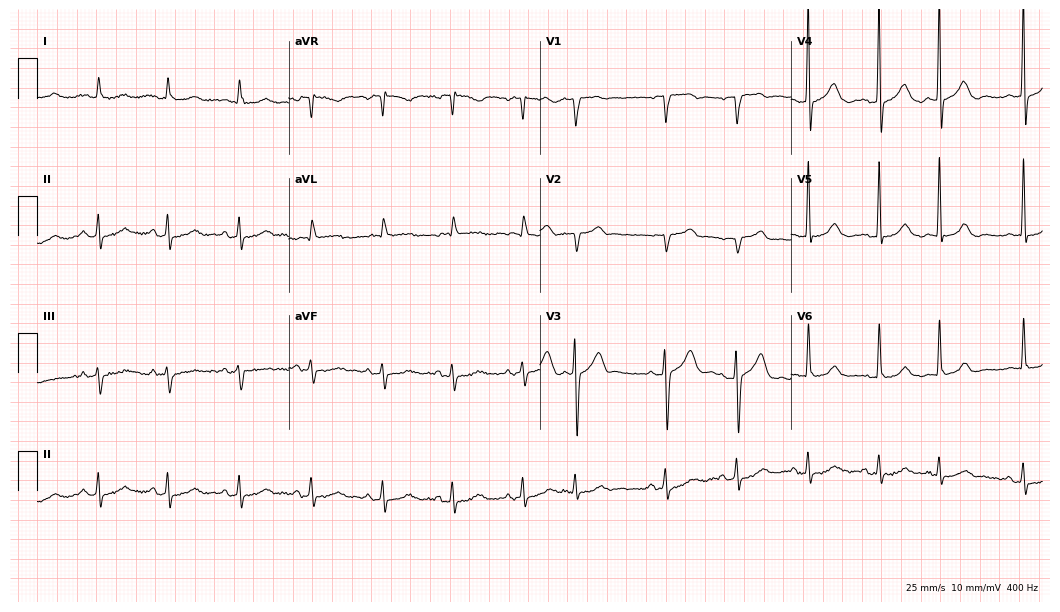
ECG — an 80-year-old male patient. Screened for six findings — first-degree AV block, right bundle branch block, left bundle branch block, sinus bradycardia, atrial fibrillation, sinus tachycardia — none is recorded. Findings outside these six are not listed.